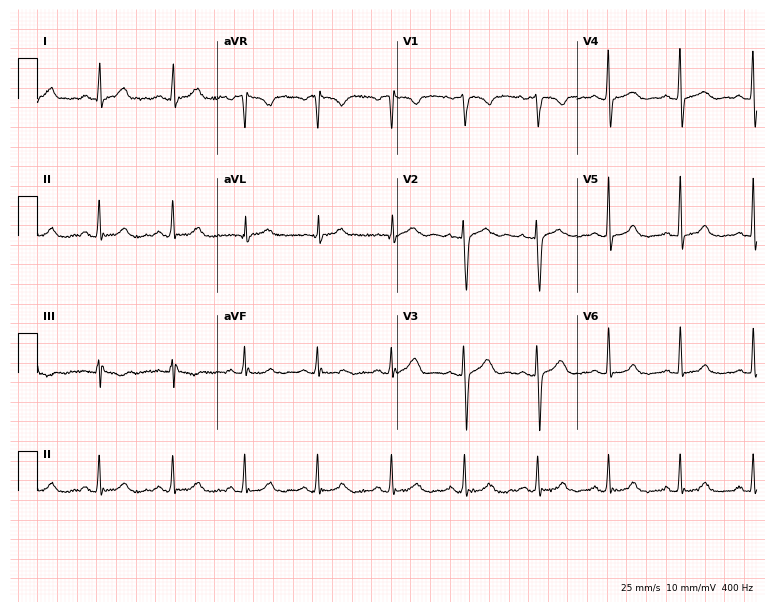
12-lead ECG from a female patient, 41 years old. No first-degree AV block, right bundle branch block, left bundle branch block, sinus bradycardia, atrial fibrillation or sinus tachycardia recorded for this tracing.